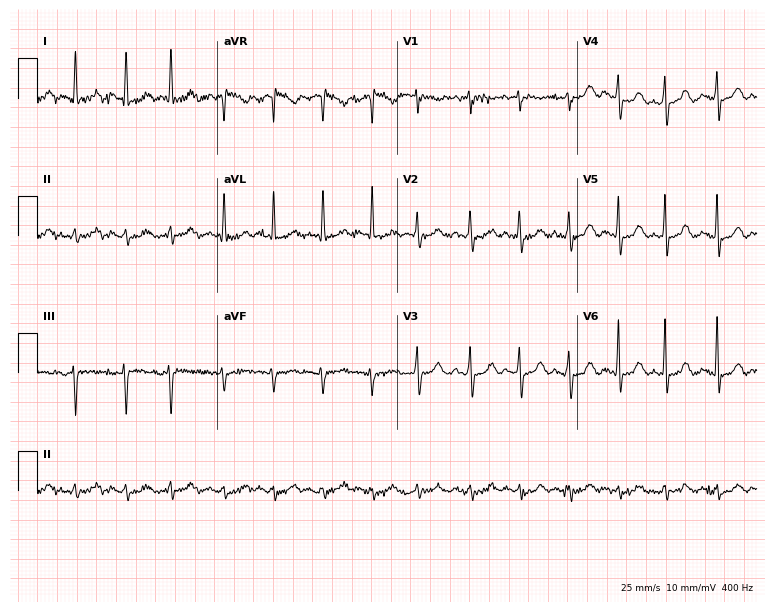
Standard 12-lead ECG recorded from a female, 84 years old (7.3-second recording at 400 Hz). The tracing shows sinus tachycardia (a sinus rate of 100 beats per minute or more).